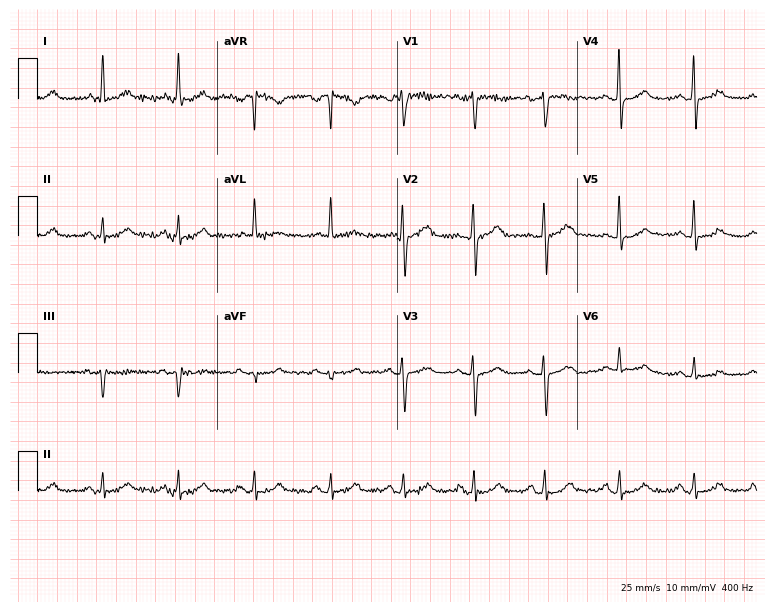
Electrocardiogram, a female patient, 56 years old. Of the six screened findings (first-degree AV block, right bundle branch block (RBBB), left bundle branch block (LBBB), sinus bradycardia, atrial fibrillation (AF), sinus tachycardia), none is recorded. Other findings, if any, are not listed.